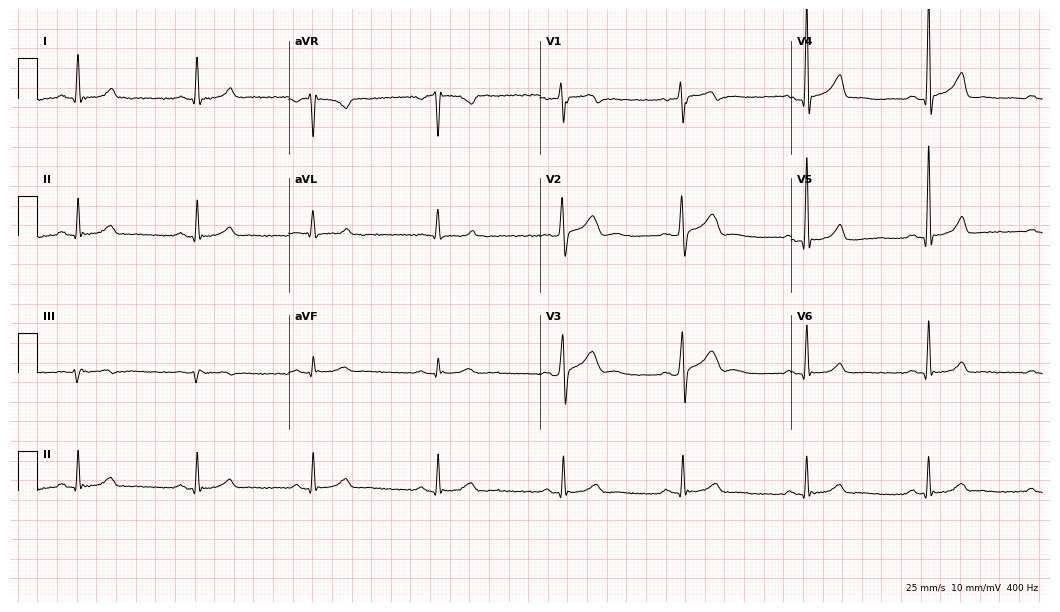
Electrocardiogram, a 48-year-old male. Overall reading on record: normal ECG.